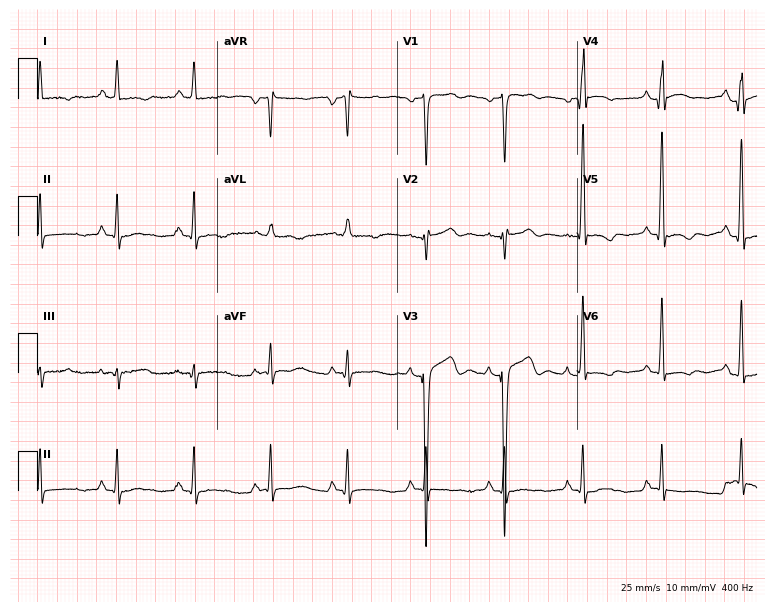
12-lead ECG from a 54-year-old male. No first-degree AV block, right bundle branch block, left bundle branch block, sinus bradycardia, atrial fibrillation or sinus tachycardia recorded for this tracing. Only these six findings were labelled.